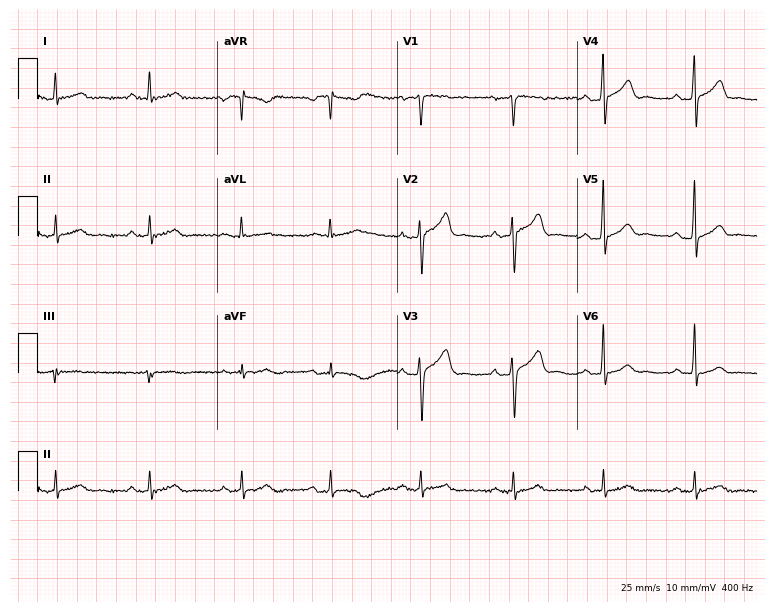
Standard 12-lead ECG recorded from a man, 54 years old. Read as a normal ECG.